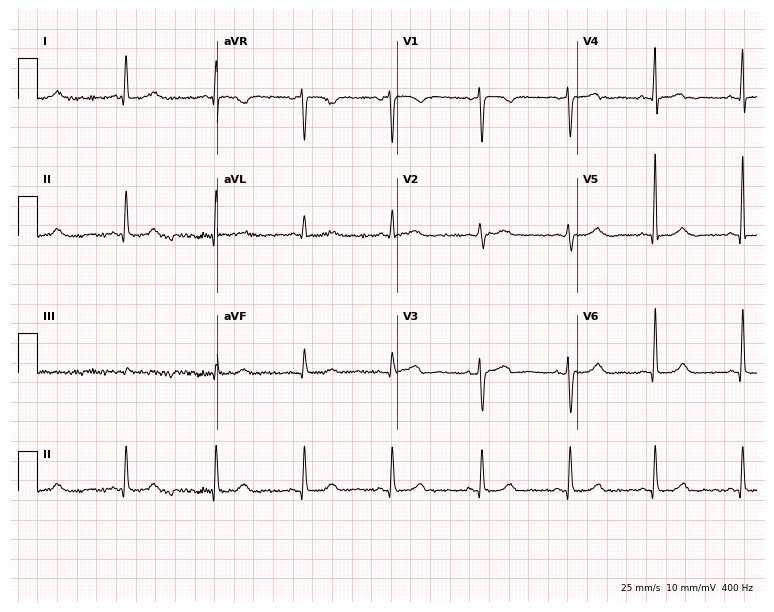
Electrocardiogram (7.3-second recording at 400 Hz), a 47-year-old female patient. Overall reading on record: normal ECG.